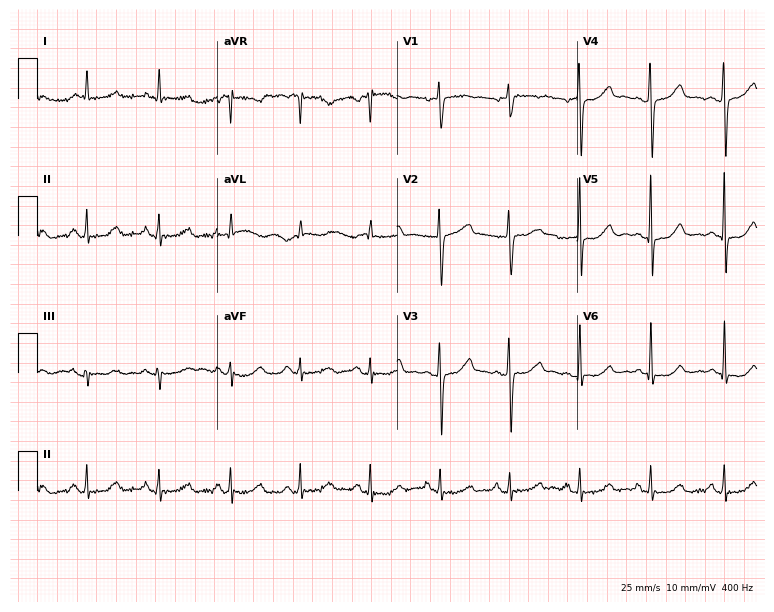
Standard 12-lead ECG recorded from a 65-year-old female (7.3-second recording at 400 Hz). None of these six findings is recorded: first-degree AV block, right bundle branch block, left bundle branch block, sinus bradycardia, atrial fibrillation, sinus tachycardia.